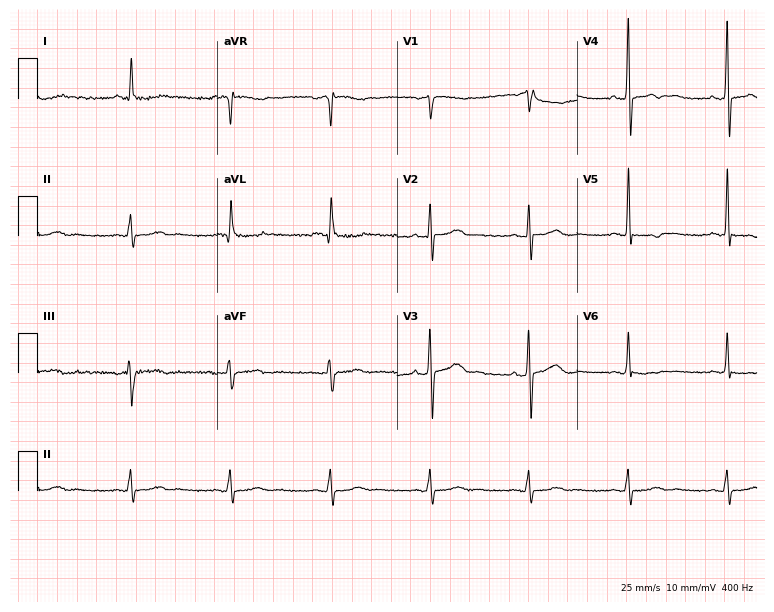
Standard 12-lead ECG recorded from a male, 61 years old. None of these six findings is recorded: first-degree AV block, right bundle branch block, left bundle branch block, sinus bradycardia, atrial fibrillation, sinus tachycardia.